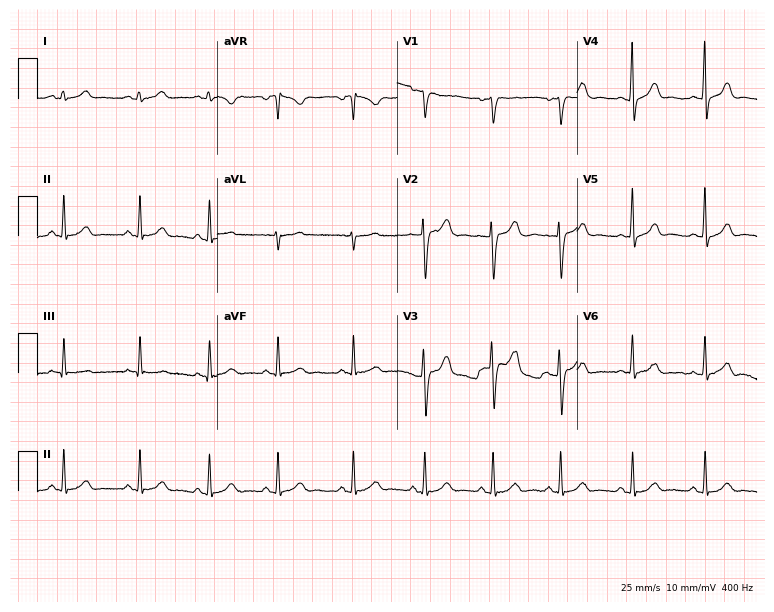
Standard 12-lead ECG recorded from a female patient, 17 years old. Read as a normal ECG.